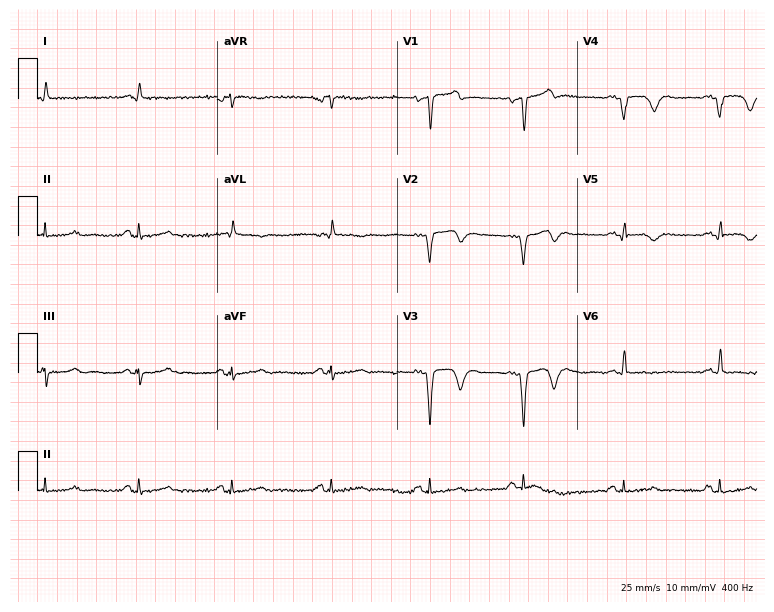
Electrocardiogram (7.3-second recording at 400 Hz), a male patient, 44 years old. Of the six screened findings (first-degree AV block, right bundle branch block, left bundle branch block, sinus bradycardia, atrial fibrillation, sinus tachycardia), none is recorded. Findings outside these six are not listed.